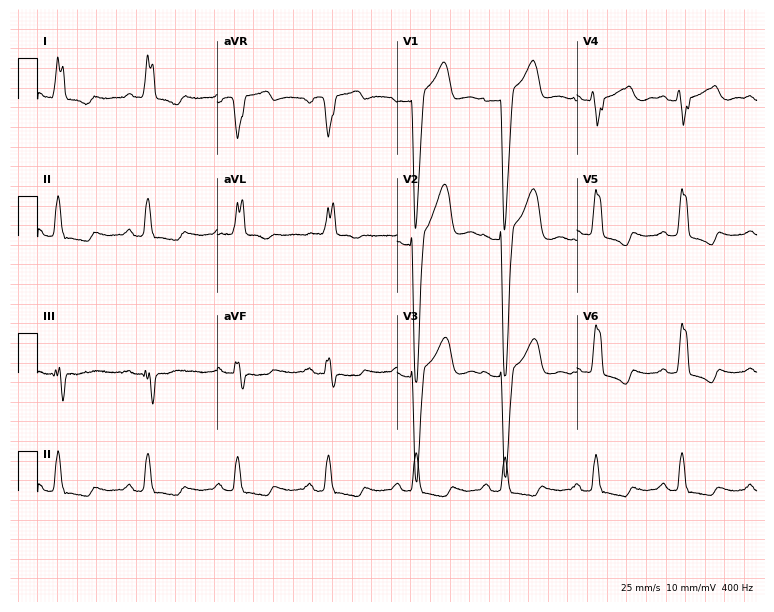
12-lead ECG (7.3-second recording at 400 Hz) from a woman, 61 years old. Findings include left bundle branch block.